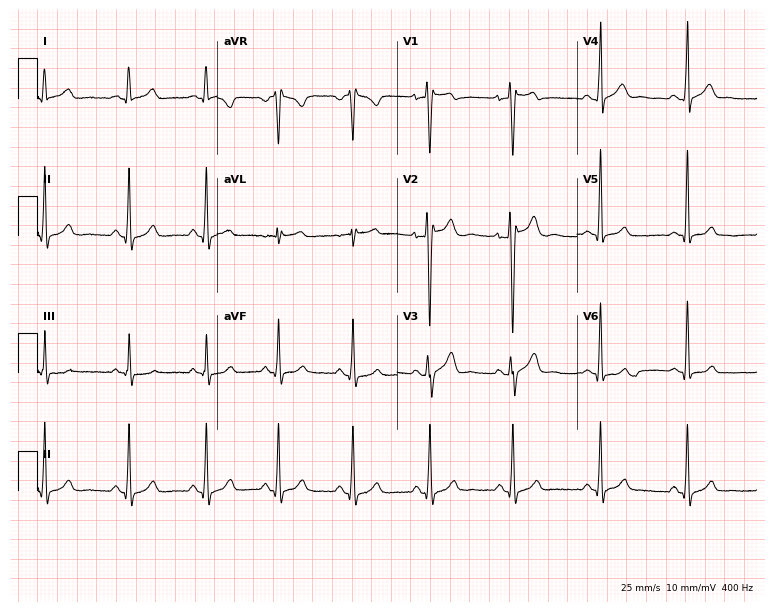
12-lead ECG from a man, 22 years old. Labelled as a normal ECG.